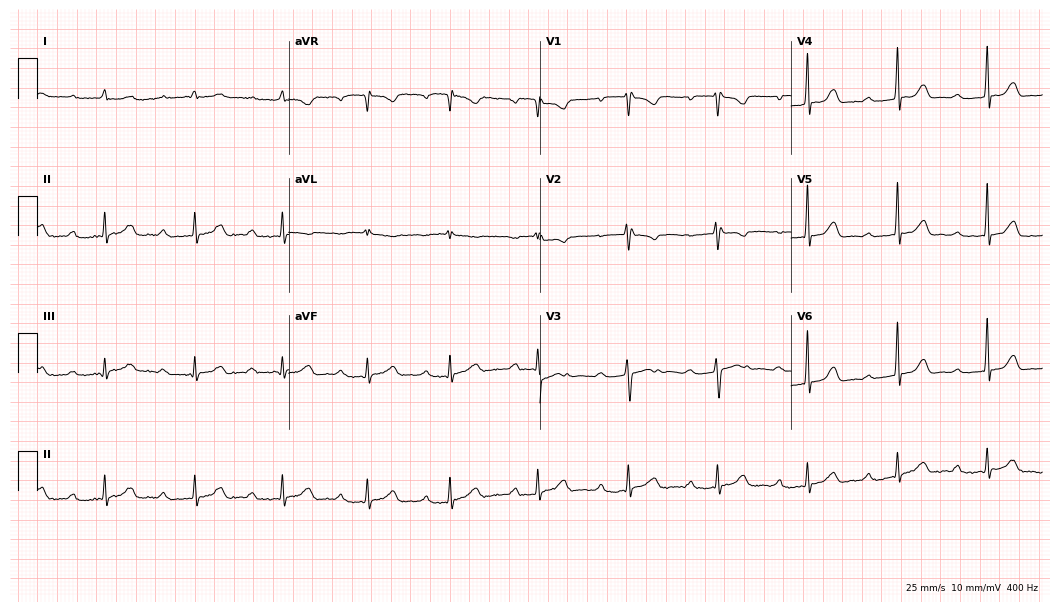
12-lead ECG from a female, 26 years old. Shows first-degree AV block.